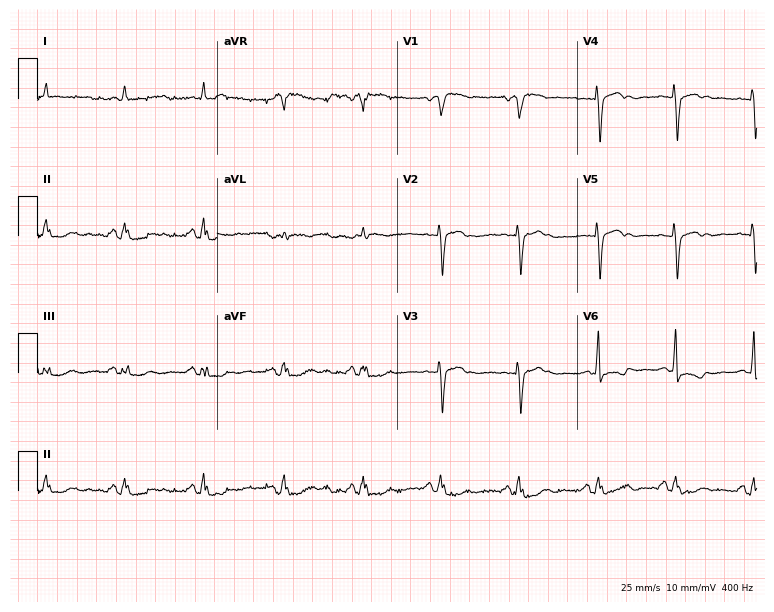
Standard 12-lead ECG recorded from a 77-year-old man. Read as a normal ECG.